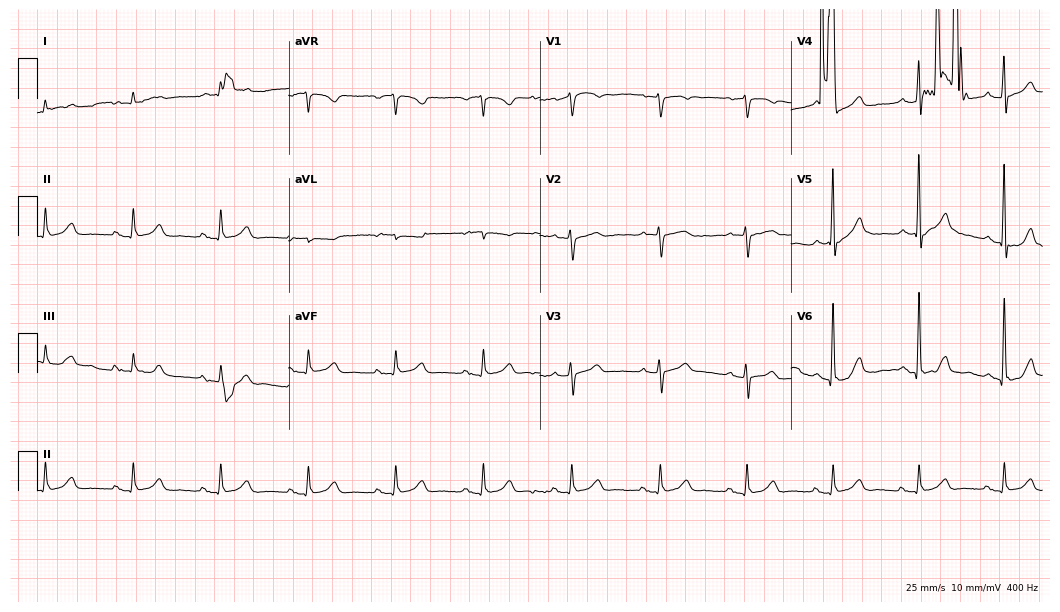
12-lead ECG from a 74-year-old male (10.2-second recording at 400 Hz). No first-degree AV block, right bundle branch block, left bundle branch block, sinus bradycardia, atrial fibrillation or sinus tachycardia recorded for this tracing. Other findings, if any, are not listed.